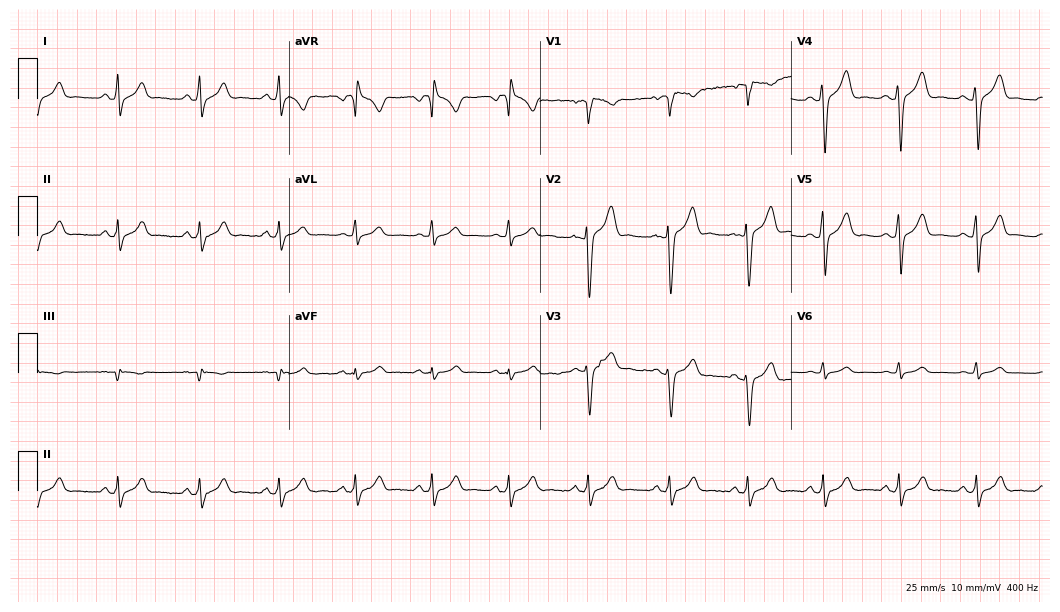
Standard 12-lead ECG recorded from a male, 26 years old. Read as a normal ECG.